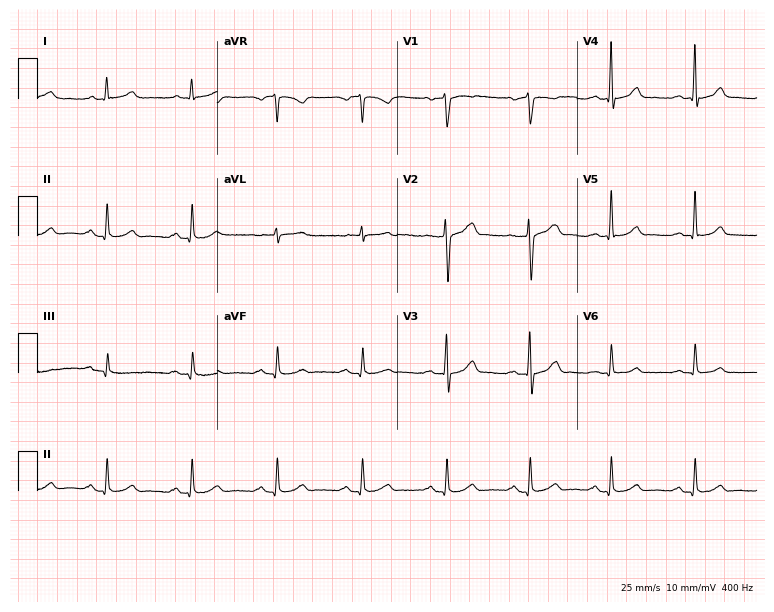
12-lead ECG from a male, 60 years old (7.3-second recording at 400 Hz). Recorded interpretation: within normal limits.